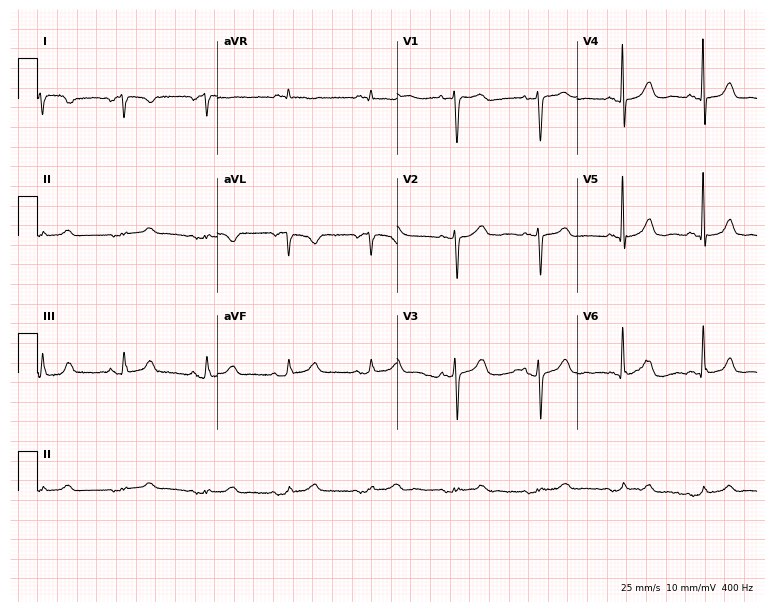
Standard 12-lead ECG recorded from a female, 81 years old. None of these six findings is recorded: first-degree AV block, right bundle branch block (RBBB), left bundle branch block (LBBB), sinus bradycardia, atrial fibrillation (AF), sinus tachycardia. Other findings, if any, are not listed.